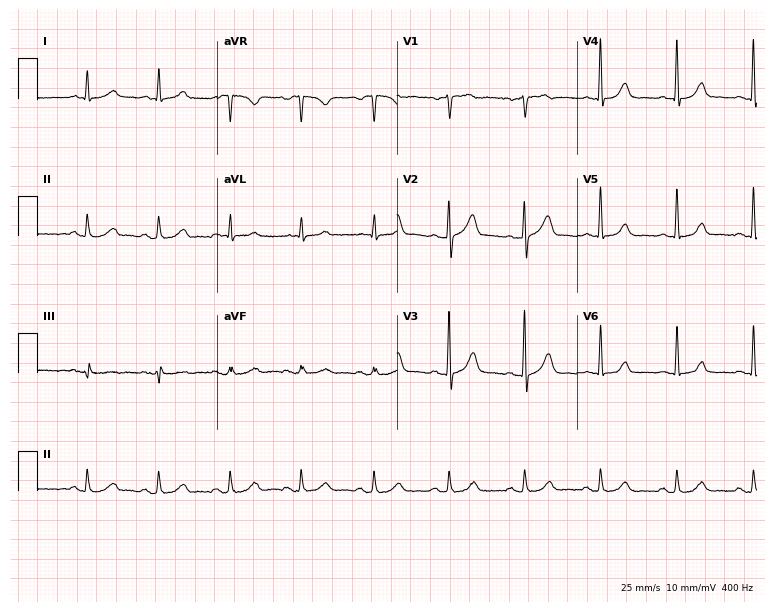
12-lead ECG from a 46-year-old man. No first-degree AV block, right bundle branch block (RBBB), left bundle branch block (LBBB), sinus bradycardia, atrial fibrillation (AF) or sinus tachycardia recorded for this tracing.